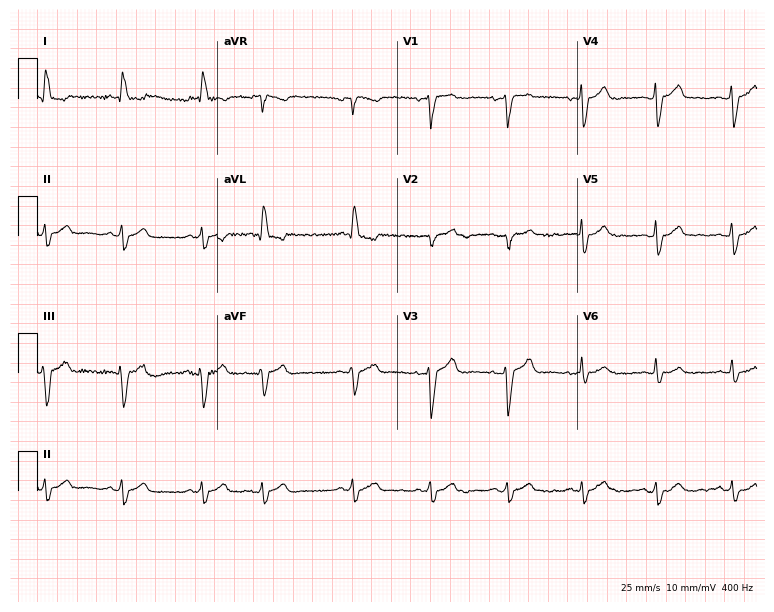
Standard 12-lead ECG recorded from a female patient, 39 years old. None of these six findings is recorded: first-degree AV block, right bundle branch block (RBBB), left bundle branch block (LBBB), sinus bradycardia, atrial fibrillation (AF), sinus tachycardia.